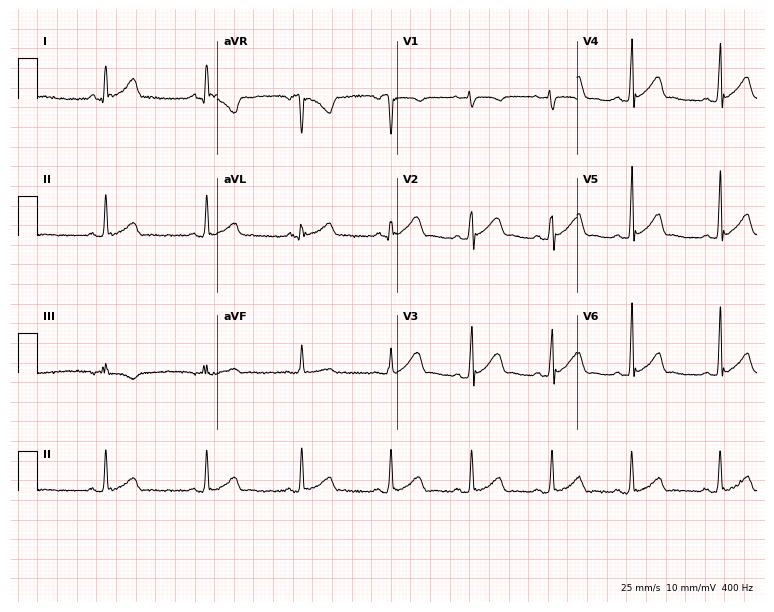
ECG (7.3-second recording at 400 Hz) — a man, 29 years old. Labelled as a normal ECG.